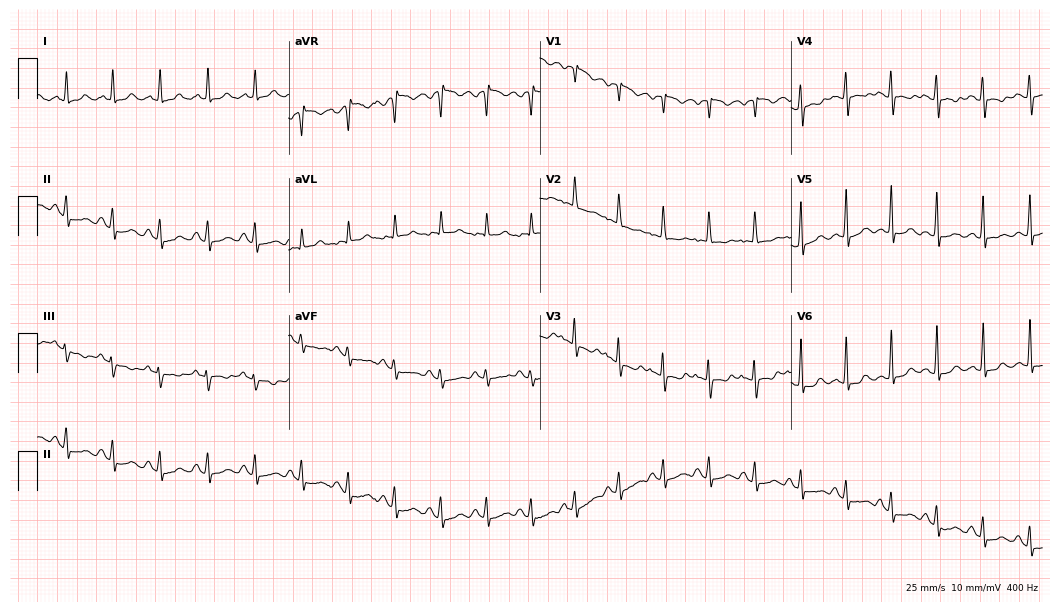
Standard 12-lead ECG recorded from a female, 22 years old (10.2-second recording at 400 Hz). The tracing shows sinus tachycardia (a sinus rate of 100 beats per minute or more).